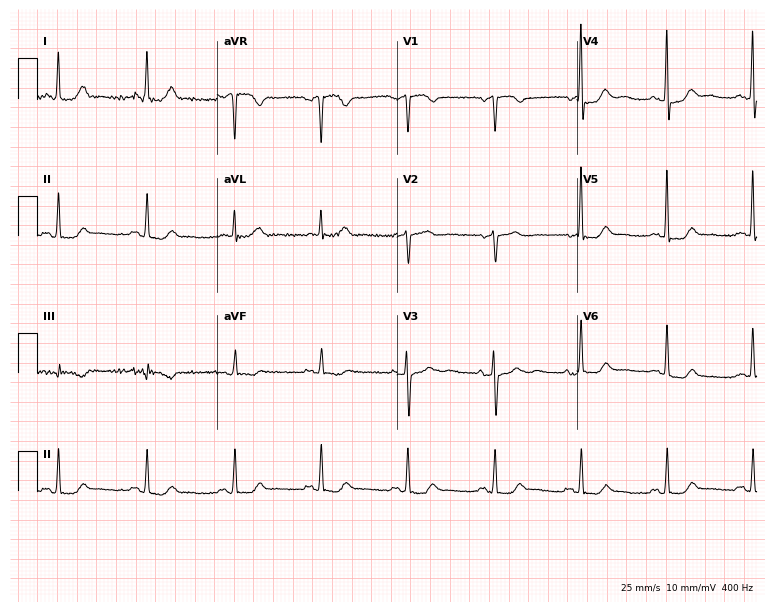
ECG (7.3-second recording at 400 Hz) — a 62-year-old woman. Labelled as a normal ECG.